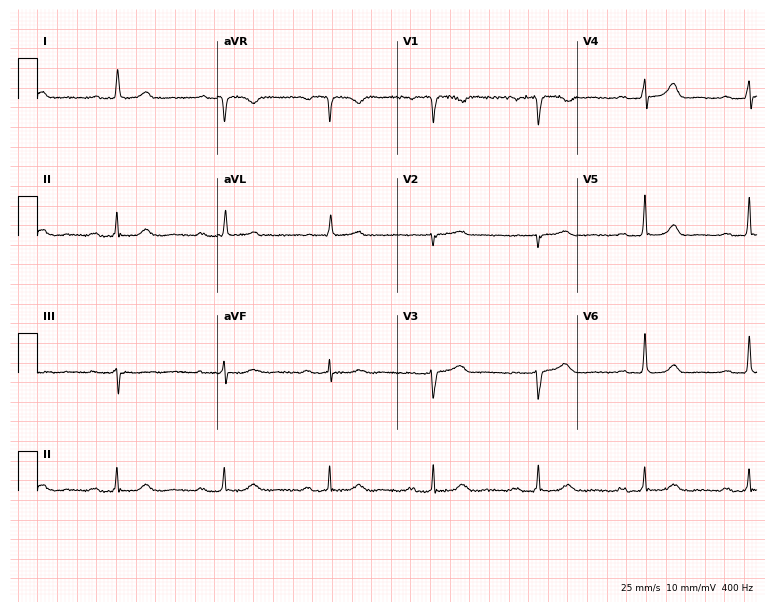
12-lead ECG (7.3-second recording at 400 Hz) from a female patient, 67 years old. Screened for six findings — first-degree AV block, right bundle branch block, left bundle branch block, sinus bradycardia, atrial fibrillation, sinus tachycardia — none is recorded. Other findings, if any, are not listed.